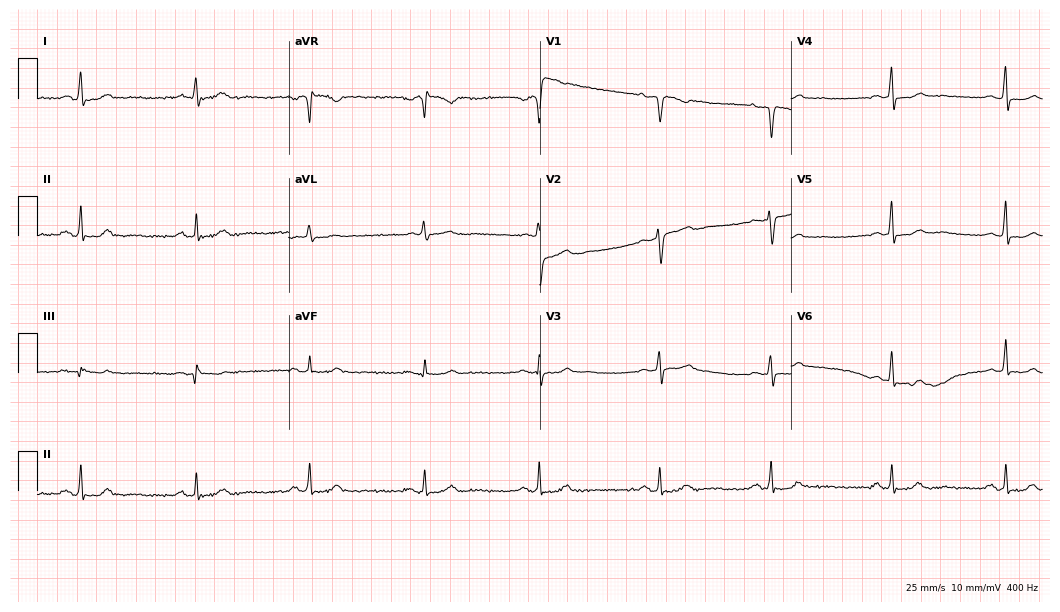
12-lead ECG from a woman, 45 years old (10.2-second recording at 400 Hz). No first-degree AV block, right bundle branch block, left bundle branch block, sinus bradycardia, atrial fibrillation or sinus tachycardia recorded for this tracing.